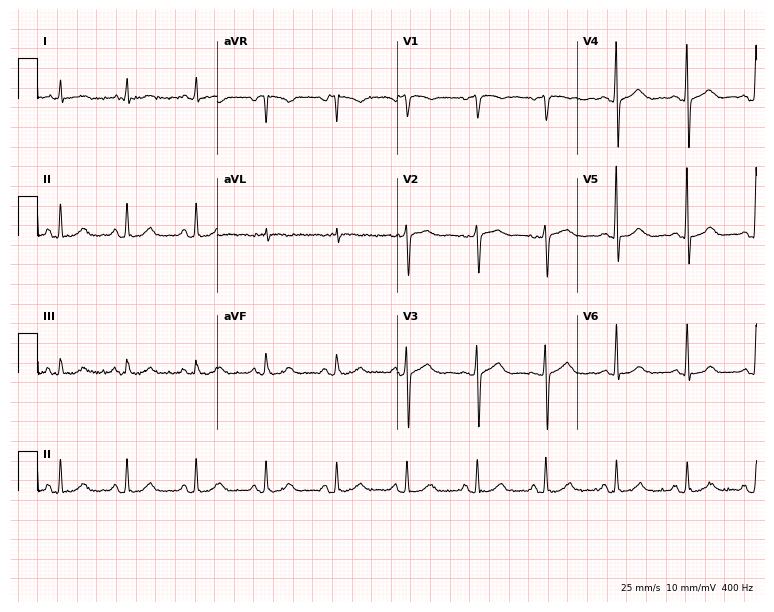
12-lead ECG from a female, 69 years old. Screened for six findings — first-degree AV block, right bundle branch block, left bundle branch block, sinus bradycardia, atrial fibrillation, sinus tachycardia — none is recorded. Only these six findings were labelled.